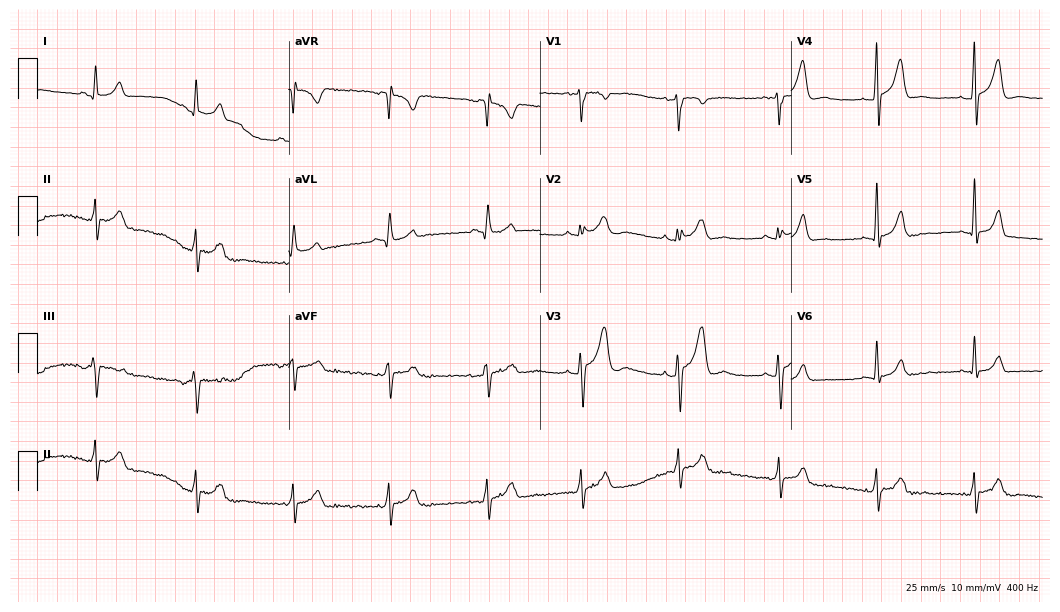
Standard 12-lead ECG recorded from a 27-year-old man. None of these six findings is recorded: first-degree AV block, right bundle branch block, left bundle branch block, sinus bradycardia, atrial fibrillation, sinus tachycardia.